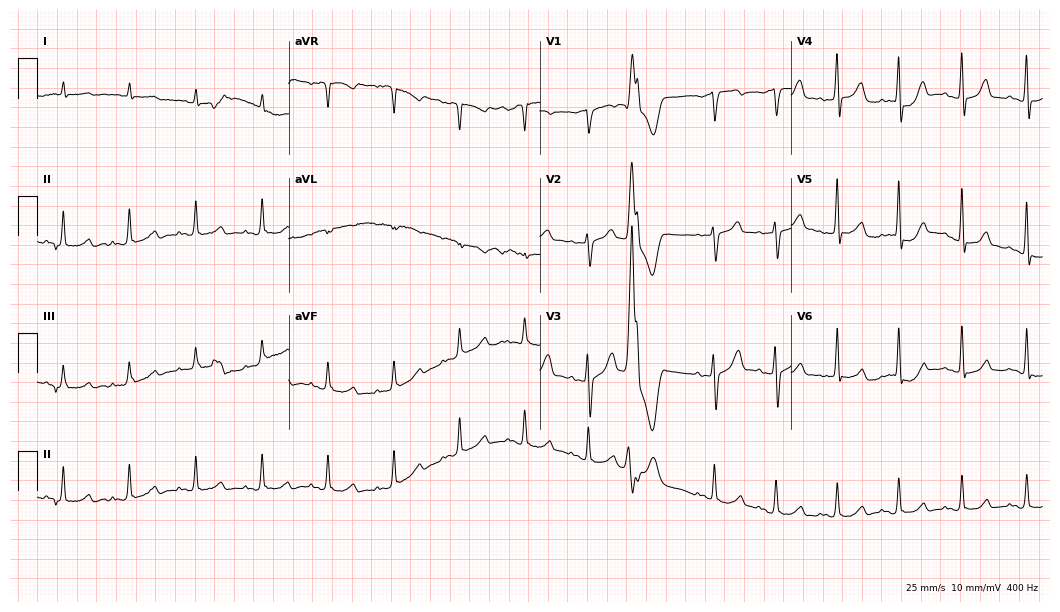
Electrocardiogram (10.2-second recording at 400 Hz), a 61-year-old male patient. Of the six screened findings (first-degree AV block, right bundle branch block, left bundle branch block, sinus bradycardia, atrial fibrillation, sinus tachycardia), none is recorded. Only these six findings were labelled.